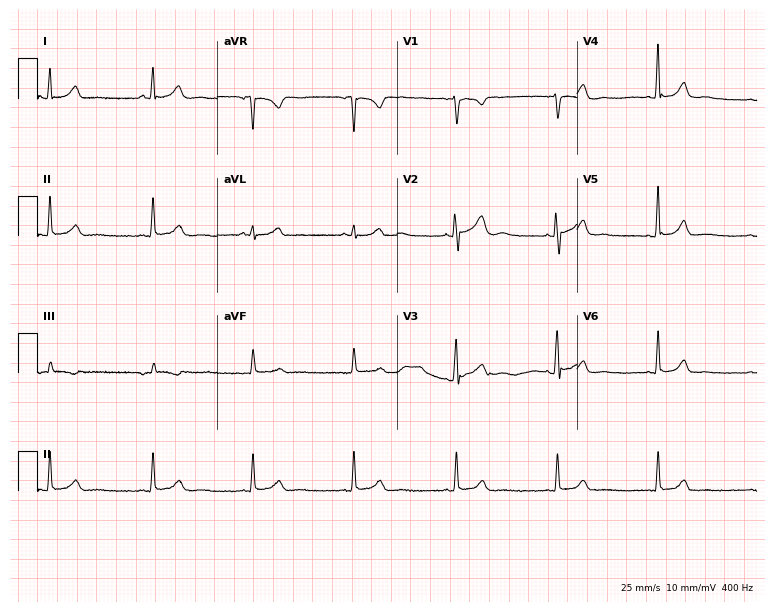
ECG (7.3-second recording at 400 Hz) — a 44-year-old woman. Labelled as a normal ECG.